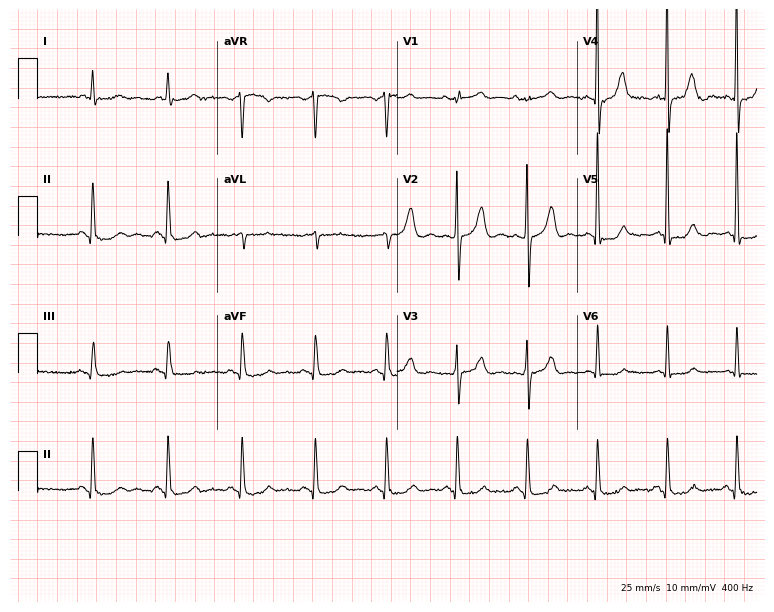
Standard 12-lead ECG recorded from an 81-year-old male (7.3-second recording at 400 Hz). None of these six findings is recorded: first-degree AV block, right bundle branch block, left bundle branch block, sinus bradycardia, atrial fibrillation, sinus tachycardia. Findings outside these six are not listed.